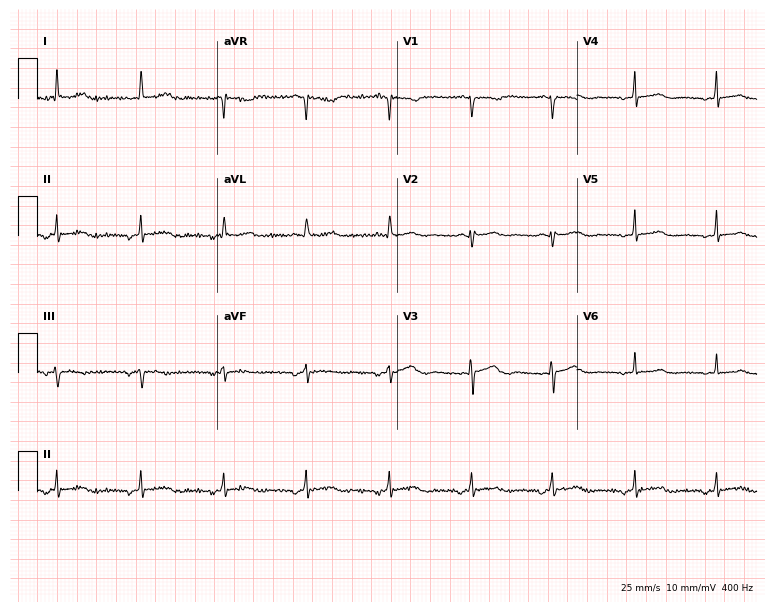
12-lead ECG from a 47-year-old female patient. Screened for six findings — first-degree AV block, right bundle branch block, left bundle branch block, sinus bradycardia, atrial fibrillation, sinus tachycardia — none is recorded.